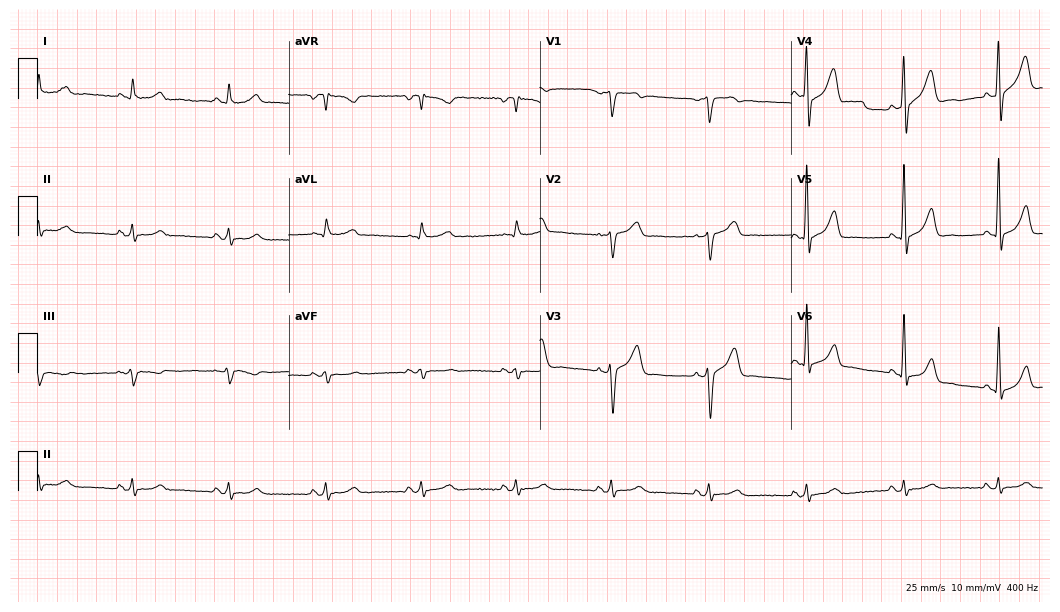
Electrocardiogram, a male patient, 69 years old. Overall reading on record: normal ECG.